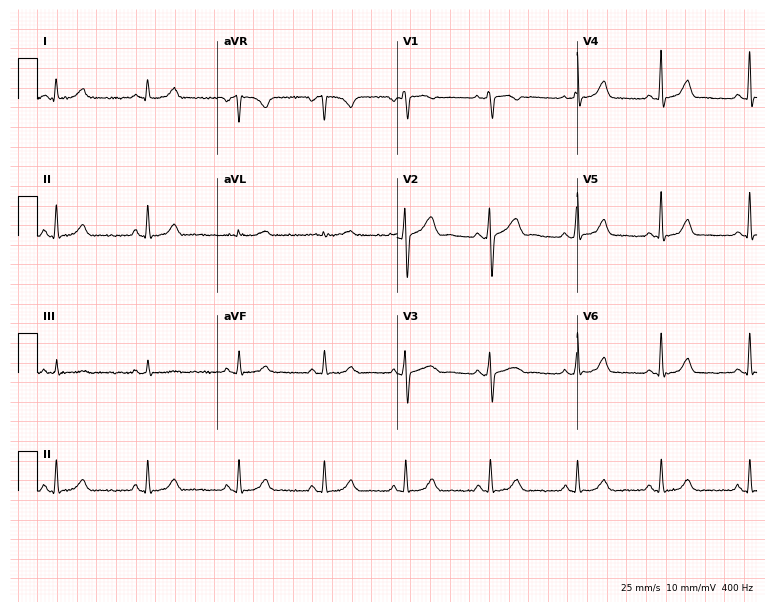
12-lead ECG from a 39-year-old female patient. Recorded interpretation: within normal limits.